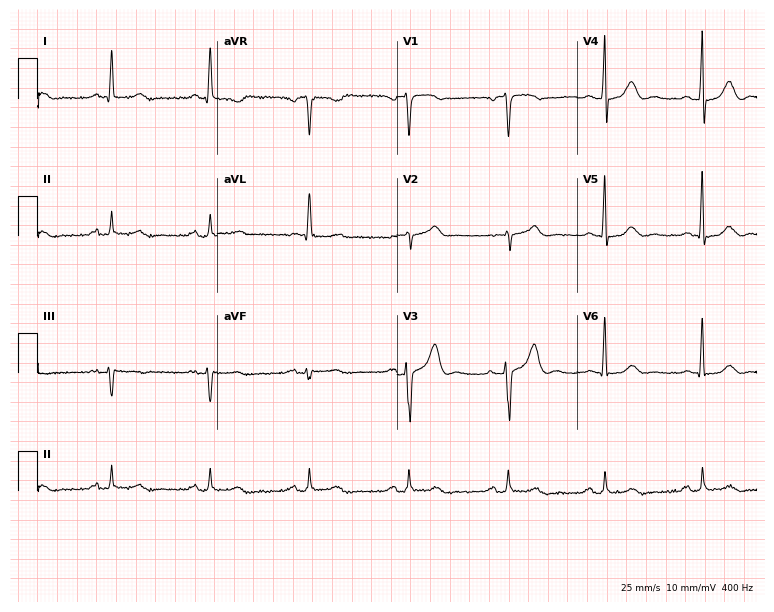
Electrocardiogram, a woman, 76 years old. Of the six screened findings (first-degree AV block, right bundle branch block, left bundle branch block, sinus bradycardia, atrial fibrillation, sinus tachycardia), none is recorded.